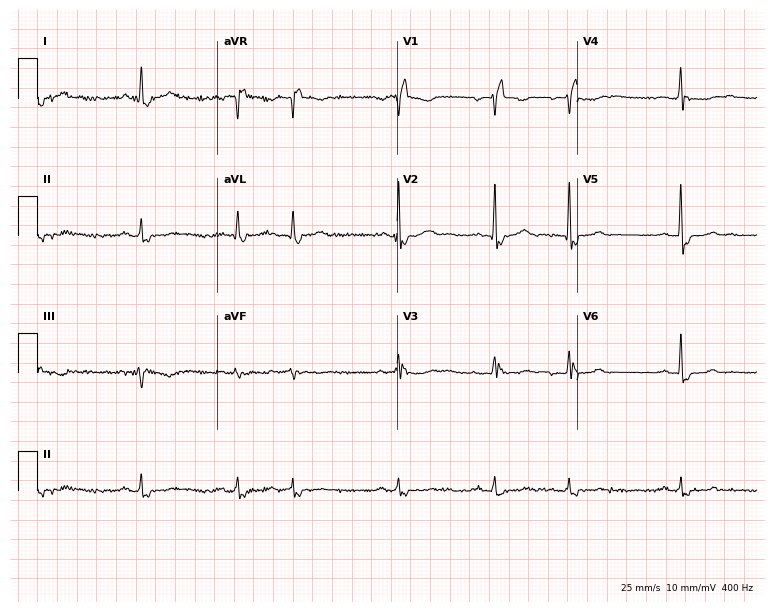
ECG (7.3-second recording at 400 Hz) — an 82-year-old female. Findings include right bundle branch block.